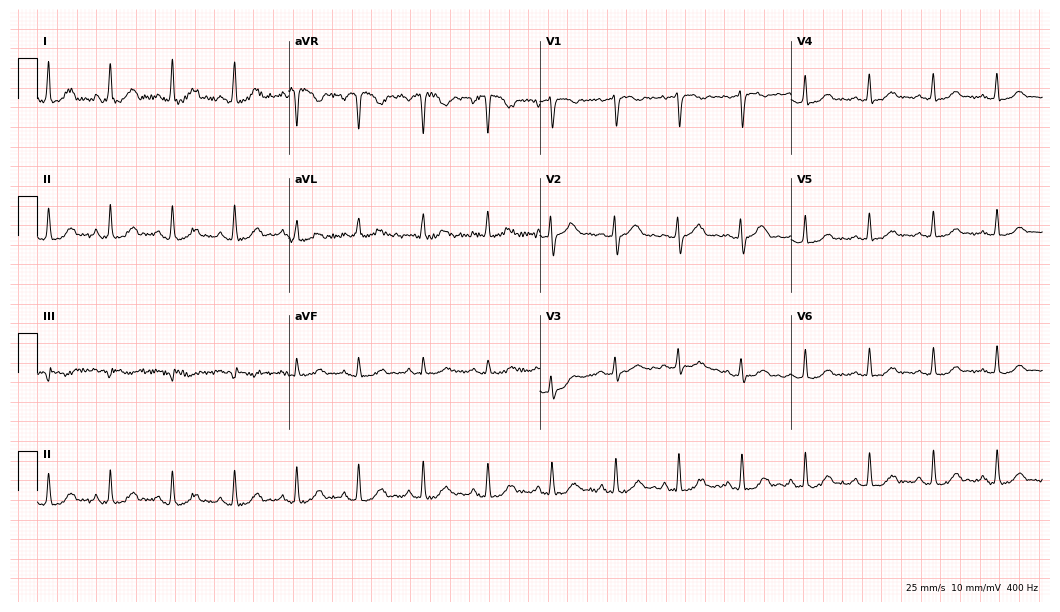
Electrocardiogram, a woman, 51 years old. Overall reading on record: normal ECG.